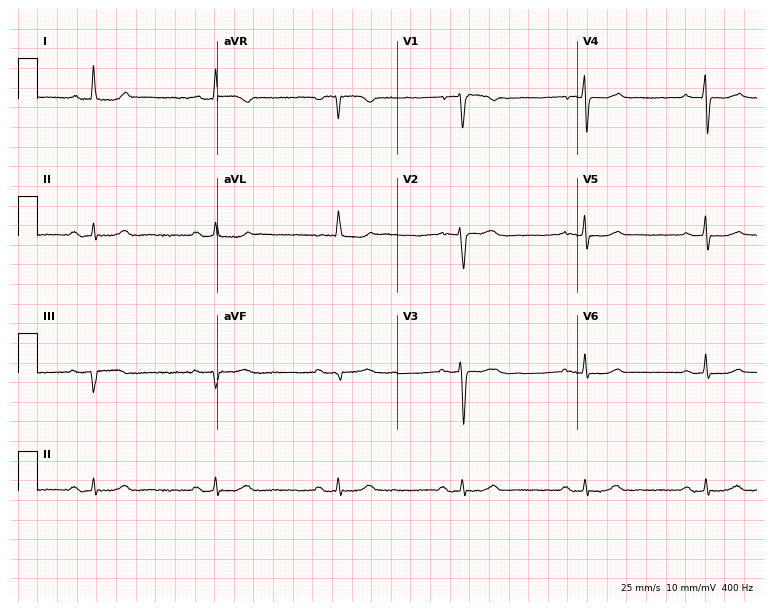
Electrocardiogram (7.3-second recording at 400 Hz), a 67-year-old woman. Interpretation includes sinus bradycardia (a sinus rate of 50 beats per minute or less).